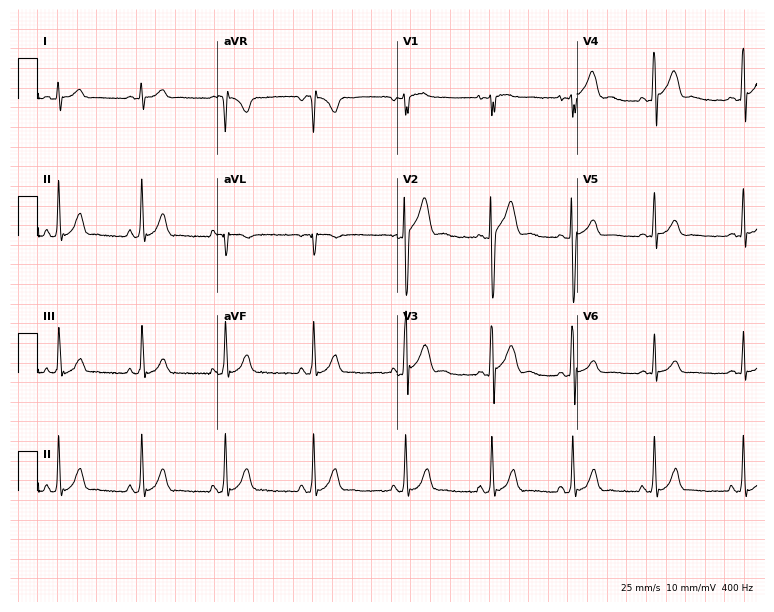
12-lead ECG (7.3-second recording at 400 Hz) from a 21-year-old man. Labelled as a normal ECG.